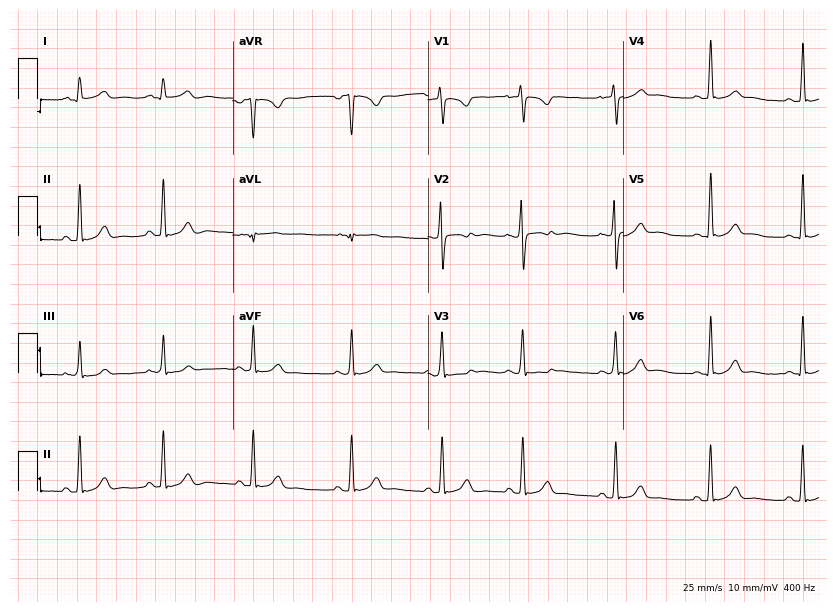
12-lead ECG from a man, 38 years old. Labelled as a normal ECG.